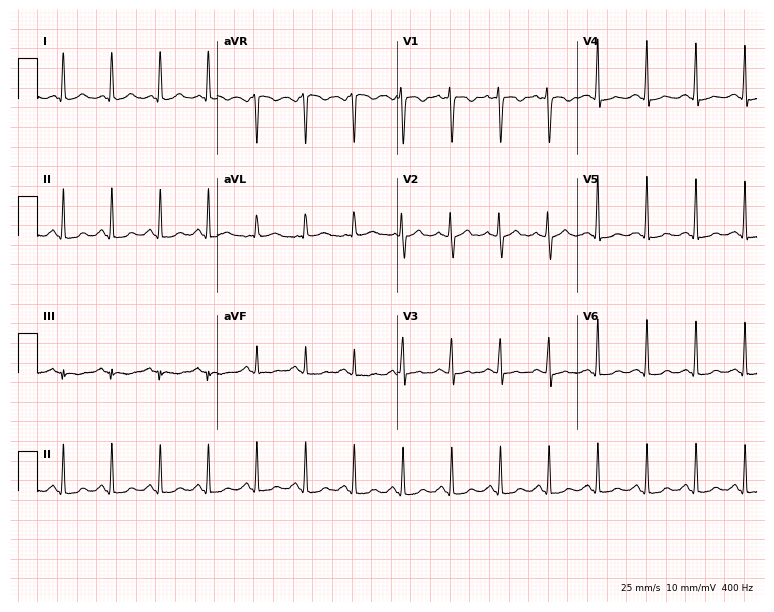
12-lead ECG from a 36-year-old female patient. No first-degree AV block, right bundle branch block (RBBB), left bundle branch block (LBBB), sinus bradycardia, atrial fibrillation (AF) or sinus tachycardia recorded for this tracing.